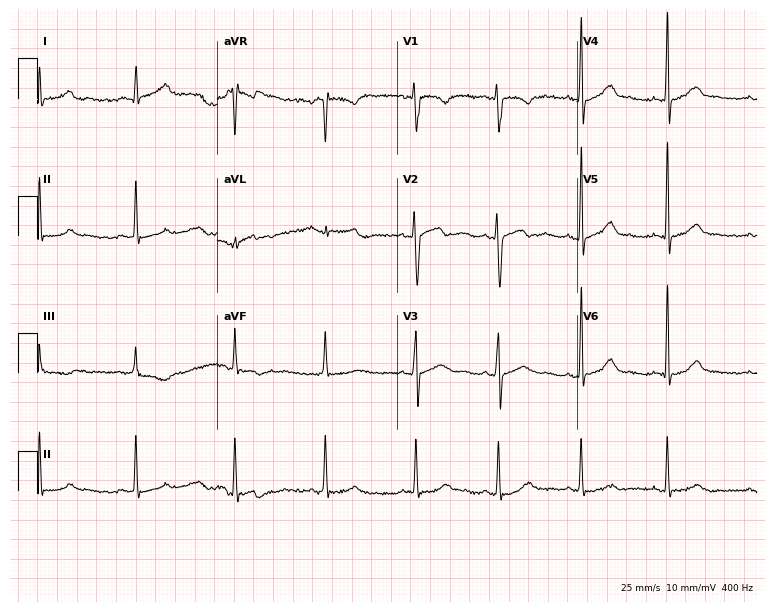
Electrocardiogram, a 29-year-old male patient. Overall reading on record: normal ECG.